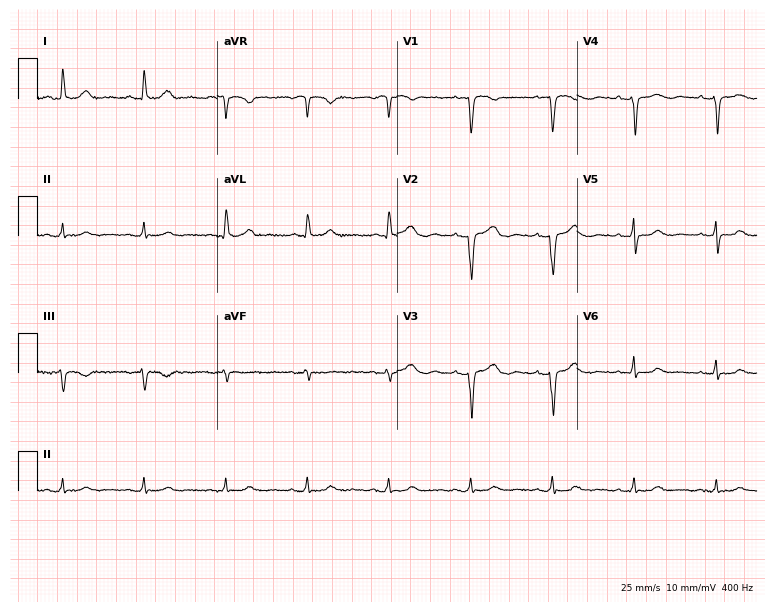
ECG — a 34-year-old female. Screened for six findings — first-degree AV block, right bundle branch block, left bundle branch block, sinus bradycardia, atrial fibrillation, sinus tachycardia — none is recorded. Findings outside these six are not listed.